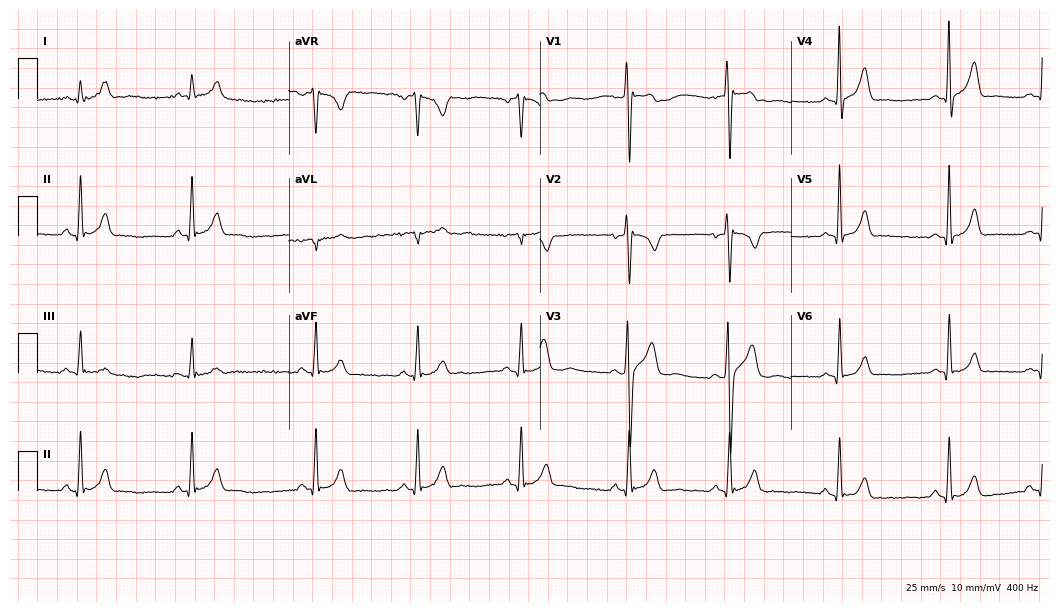
Resting 12-lead electrocardiogram. Patient: a male, 21 years old. None of these six findings is recorded: first-degree AV block, right bundle branch block, left bundle branch block, sinus bradycardia, atrial fibrillation, sinus tachycardia.